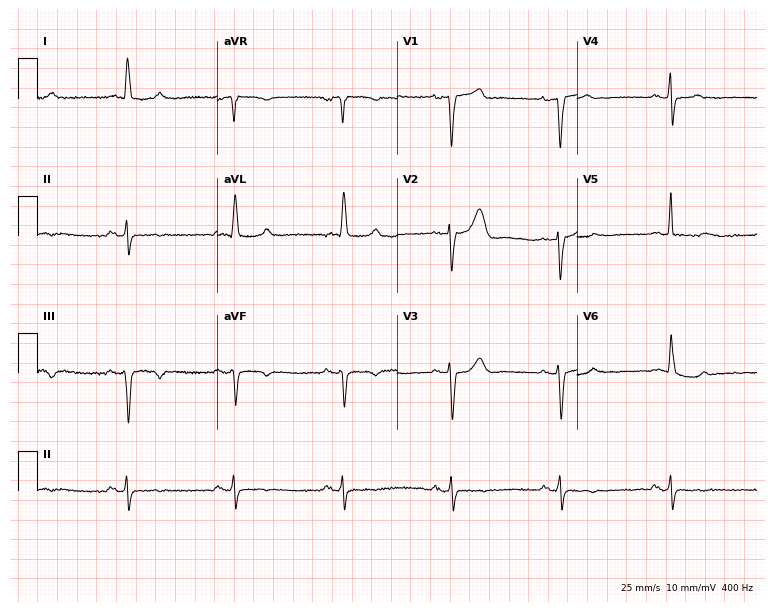
12-lead ECG (7.3-second recording at 400 Hz) from a male, 83 years old. Screened for six findings — first-degree AV block, right bundle branch block, left bundle branch block, sinus bradycardia, atrial fibrillation, sinus tachycardia — none is recorded.